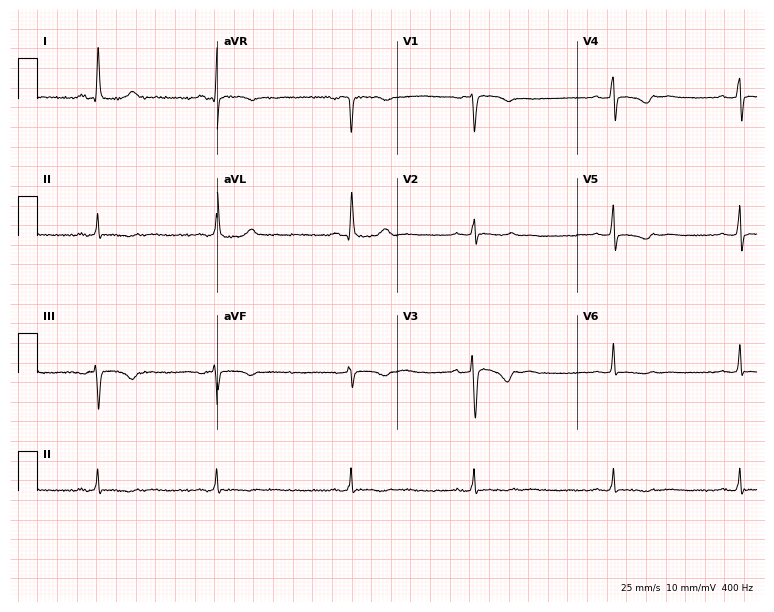
Standard 12-lead ECG recorded from a 56-year-old woman (7.3-second recording at 400 Hz). None of these six findings is recorded: first-degree AV block, right bundle branch block, left bundle branch block, sinus bradycardia, atrial fibrillation, sinus tachycardia.